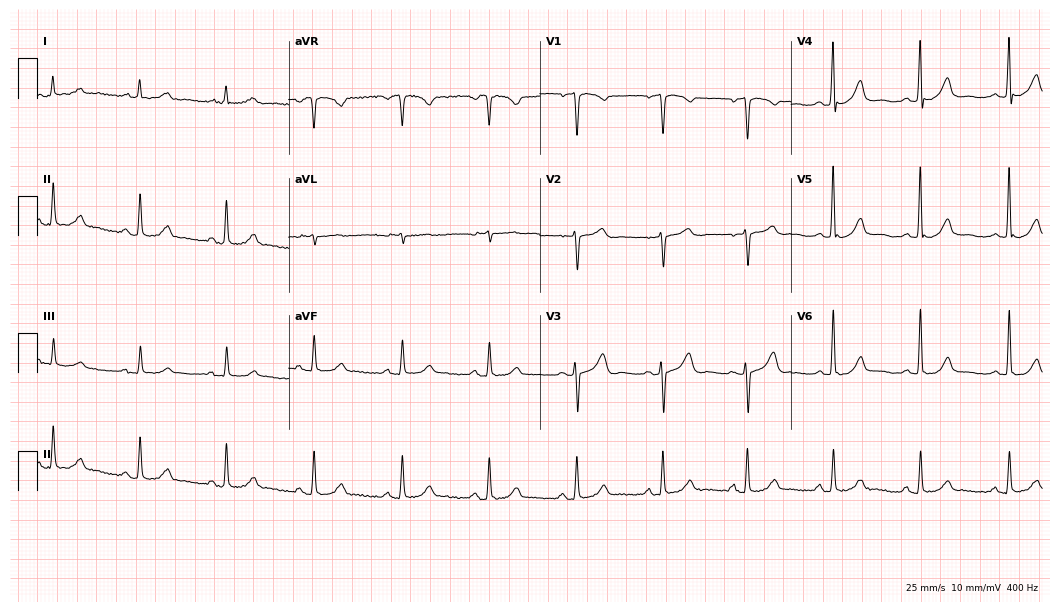
Standard 12-lead ECG recorded from a 51-year-old female patient. Read as a normal ECG.